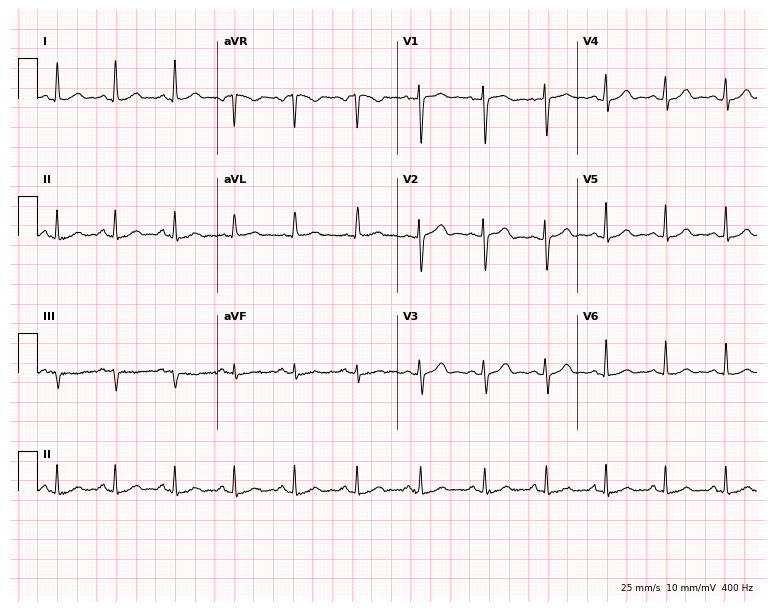
Standard 12-lead ECG recorded from a 34-year-old woman (7.3-second recording at 400 Hz). Read as a normal ECG.